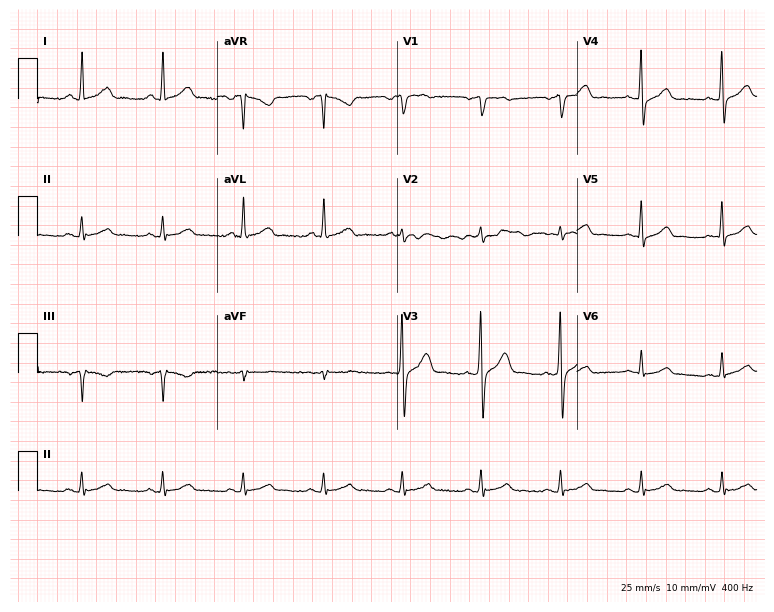
12-lead ECG from a 52-year-old male. Recorded interpretation: within normal limits.